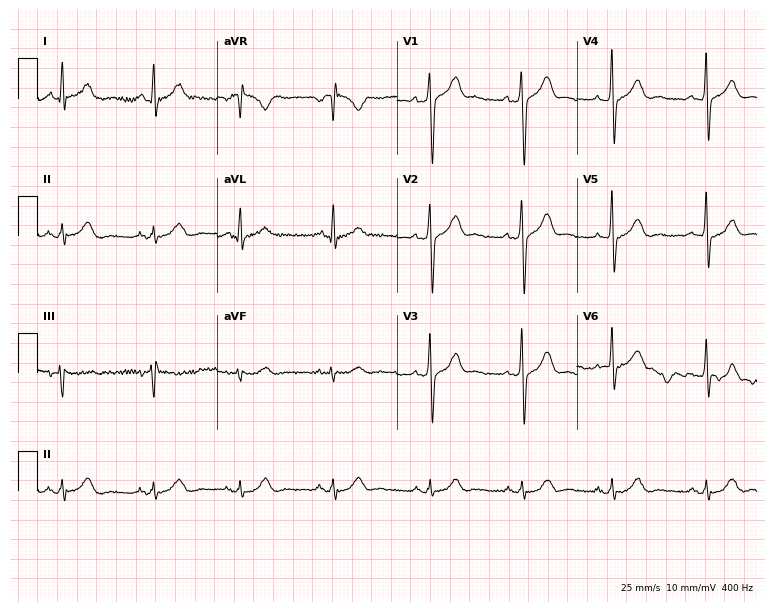
Resting 12-lead electrocardiogram (7.3-second recording at 400 Hz). Patient: a 38-year-old male. Read as a normal ECG.